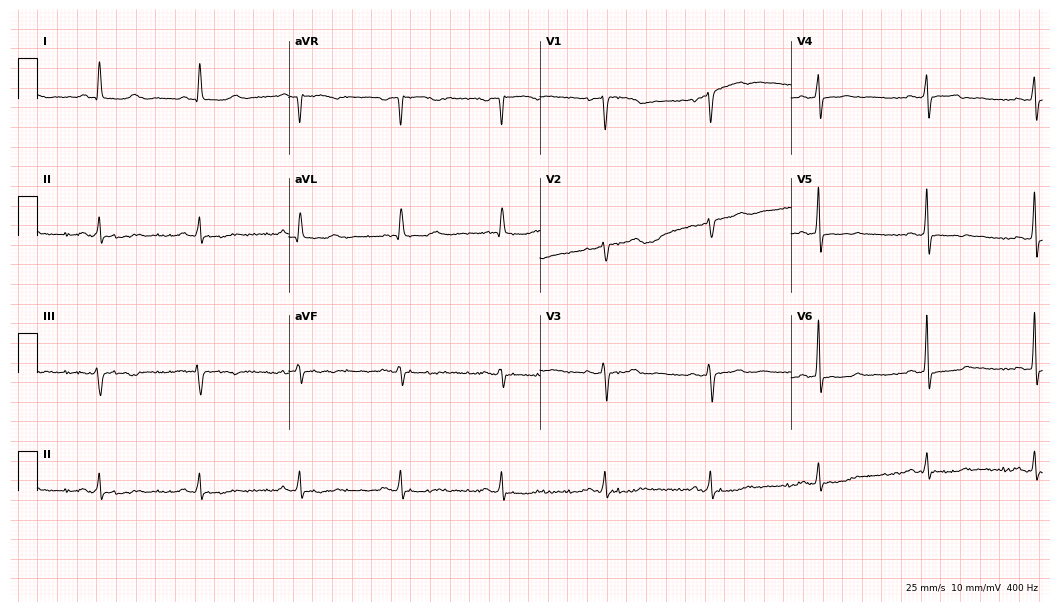
Resting 12-lead electrocardiogram. Patient: a female, 73 years old. None of these six findings is recorded: first-degree AV block, right bundle branch block, left bundle branch block, sinus bradycardia, atrial fibrillation, sinus tachycardia. Only these six findings were labelled.